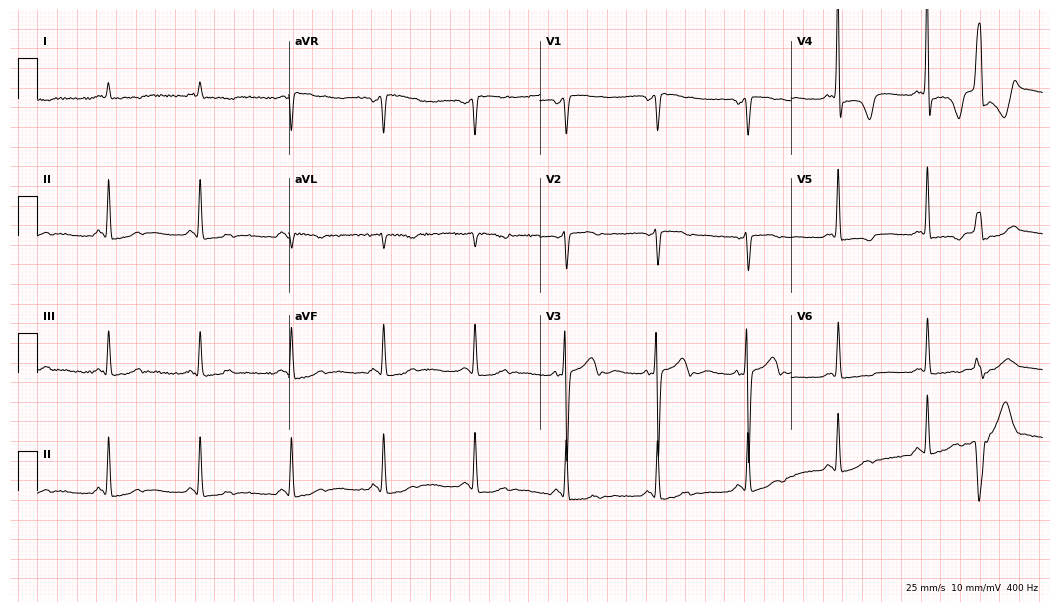
ECG (10.2-second recording at 400 Hz) — a woman, 85 years old. Screened for six findings — first-degree AV block, right bundle branch block, left bundle branch block, sinus bradycardia, atrial fibrillation, sinus tachycardia — none is recorded.